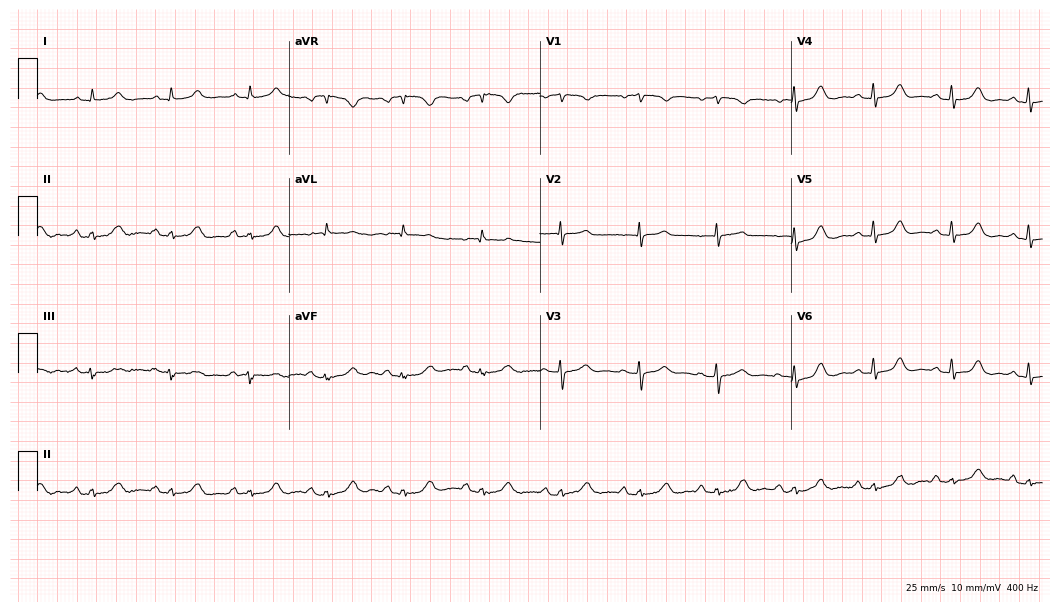
12-lead ECG from a female patient, 83 years old (10.2-second recording at 400 Hz). Recorded interpretation: within normal limits.